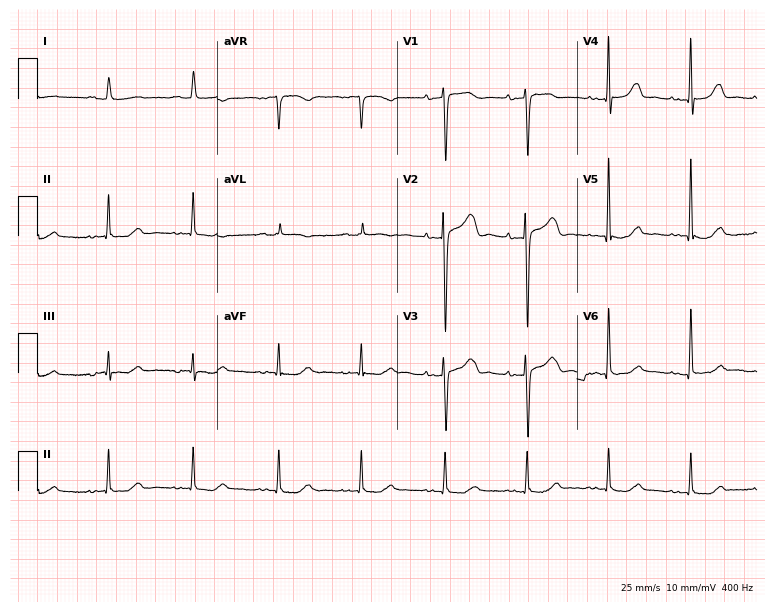
Electrocardiogram (7.3-second recording at 400 Hz), a woman, 85 years old. Of the six screened findings (first-degree AV block, right bundle branch block, left bundle branch block, sinus bradycardia, atrial fibrillation, sinus tachycardia), none is recorded. Other findings, if any, are not listed.